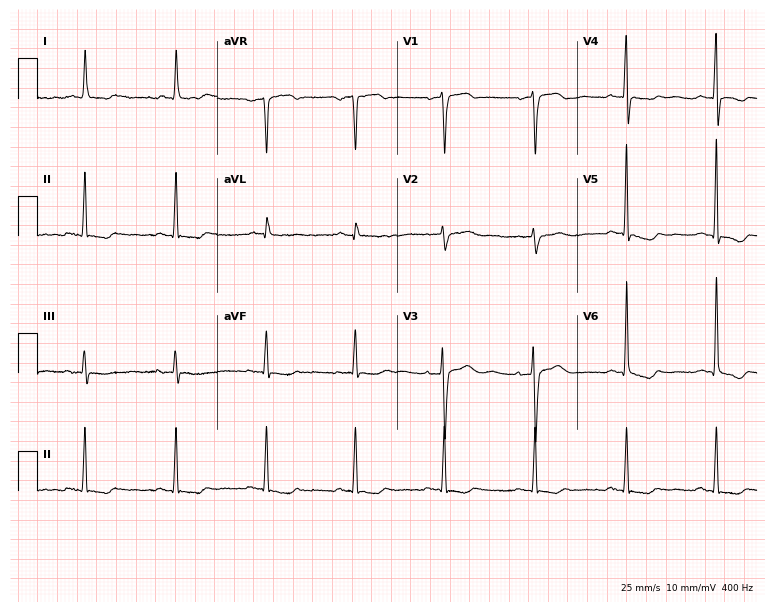
12-lead ECG from a 63-year-old female patient (7.3-second recording at 400 Hz). No first-degree AV block, right bundle branch block, left bundle branch block, sinus bradycardia, atrial fibrillation or sinus tachycardia recorded for this tracing.